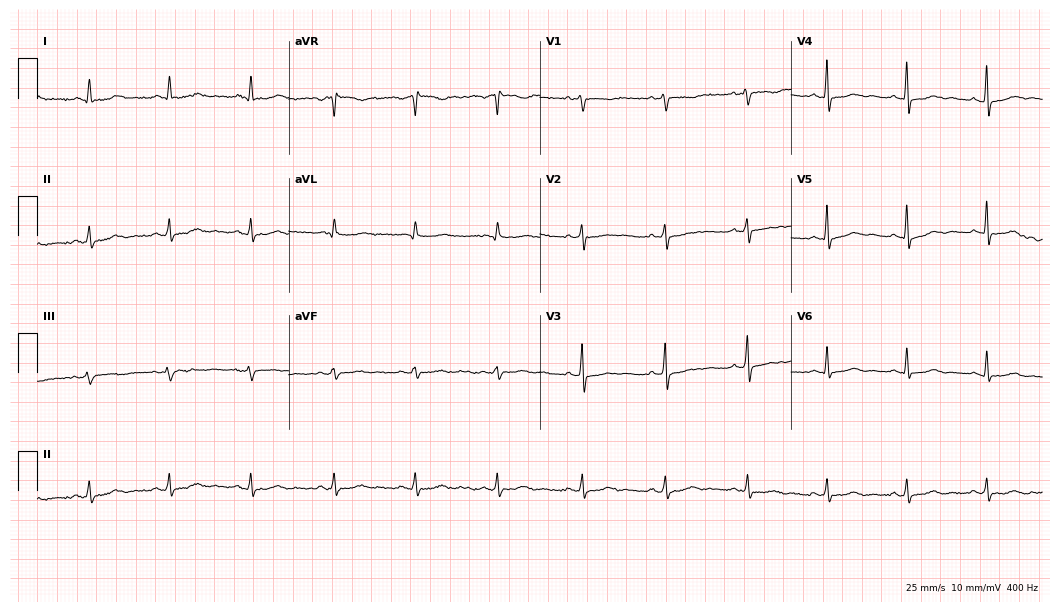
Resting 12-lead electrocardiogram. Patient: a female, 57 years old. None of these six findings is recorded: first-degree AV block, right bundle branch block (RBBB), left bundle branch block (LBBB), sinus bradycardia, atrial fibrillation (AF), sinus tachycardia. Findings outside these six are not listed.